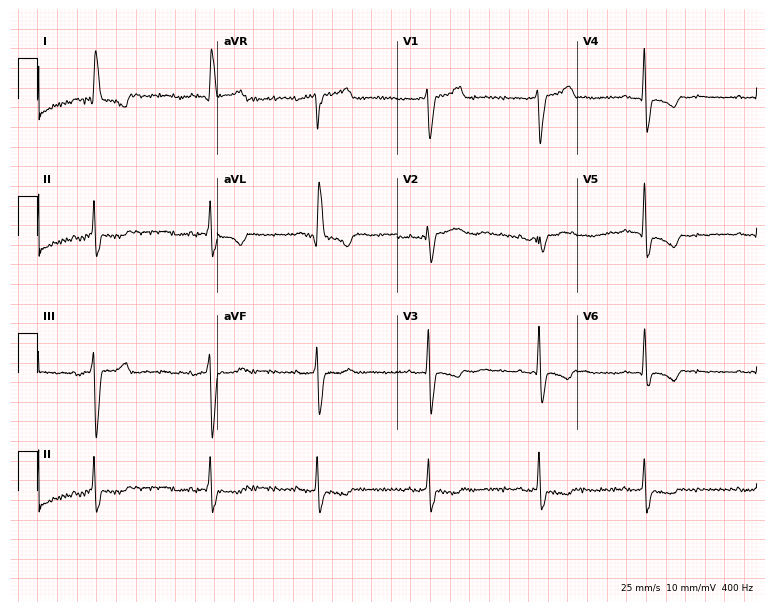
12-lead ECG (7.3-second recording at 400 Hz) from a woman, 70 years old. Screened for six findings — first-degree AV block, right bundle branch block, left bundle branch block, sinus bradycardia, atrial fibrillation, sinus tachycardia — none is recorded. Other findings, if any, are not listed.